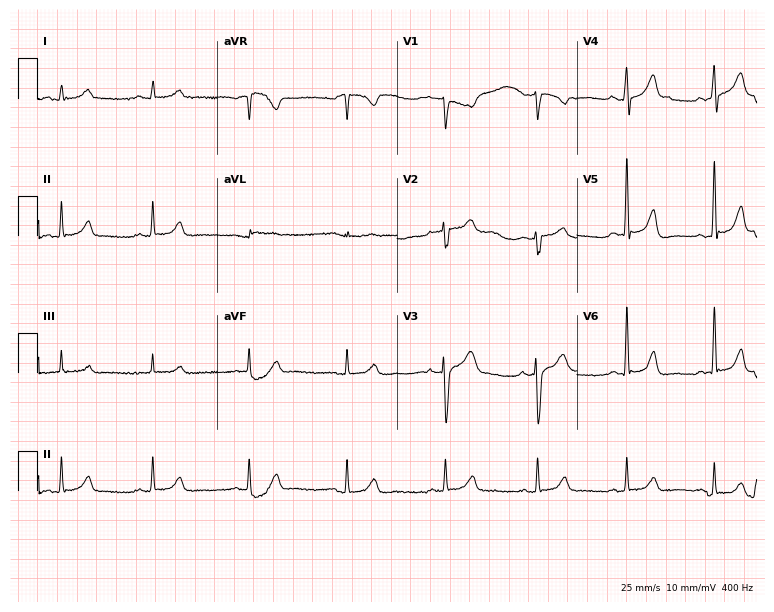
ECG — a 49-year-old female patient. Labelled as a normal ECG.